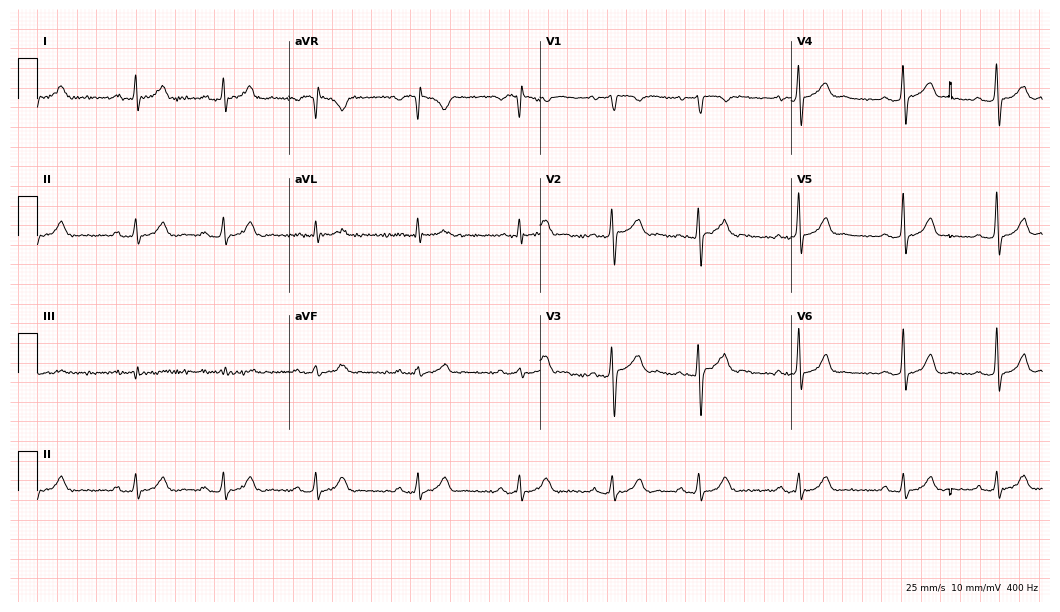
ECG (10.2-second recording at 400 Hz) — a 20-year-old male. Labelled as a normal ECG.